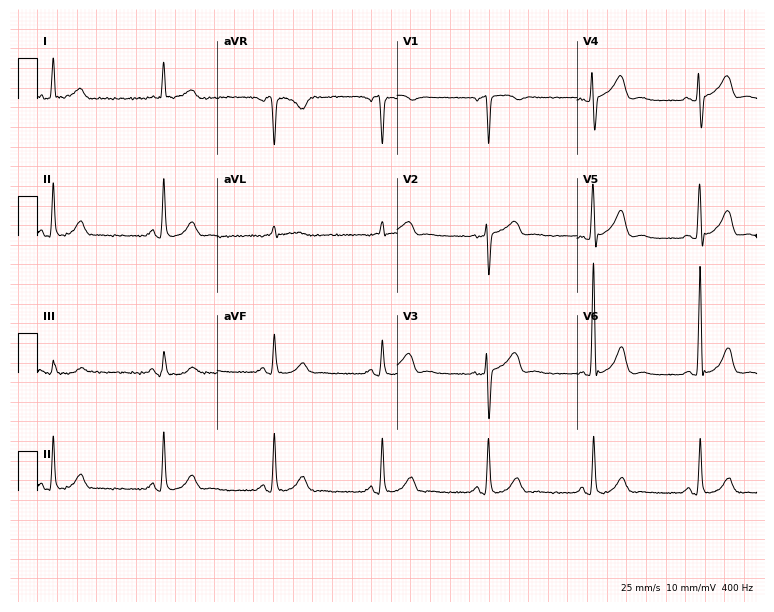
Electrocardiogram (7.3-second recording at 400 Hz), a 76-year-old male. Of the six screened findings (first-degree AV block, right bundle branch block, left bundle branch block, sinus bradycardia, atrial fibrillation, sinus tachycardia), none is recorded.